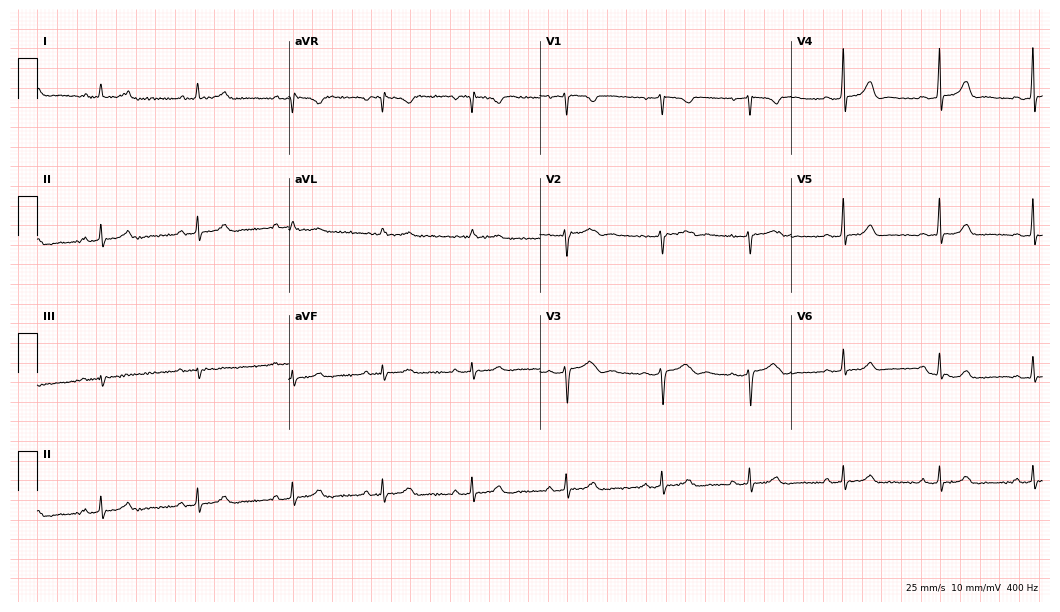
Standard 12-lead ECG recorded from a female, 25 years old. Read as a normal ECG.